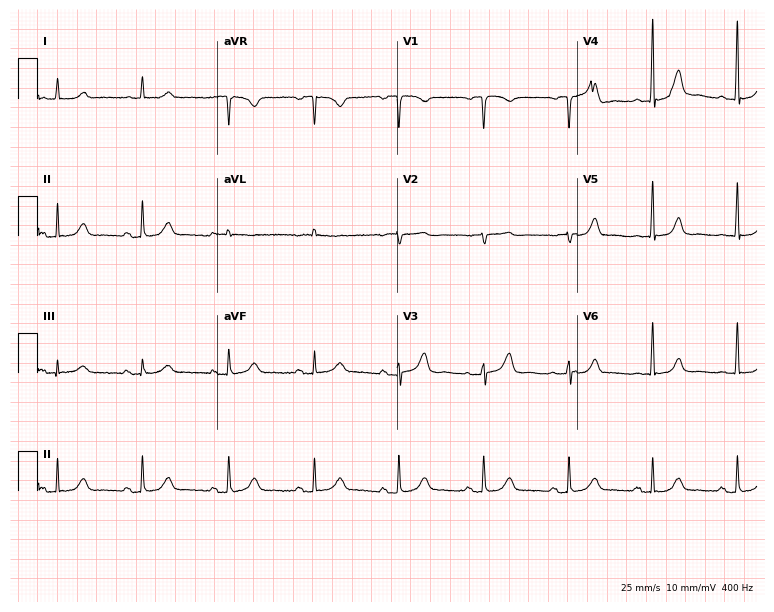
Electrocardiogram, a male patient, 84 years old. Overall reading on record: normal ECG.